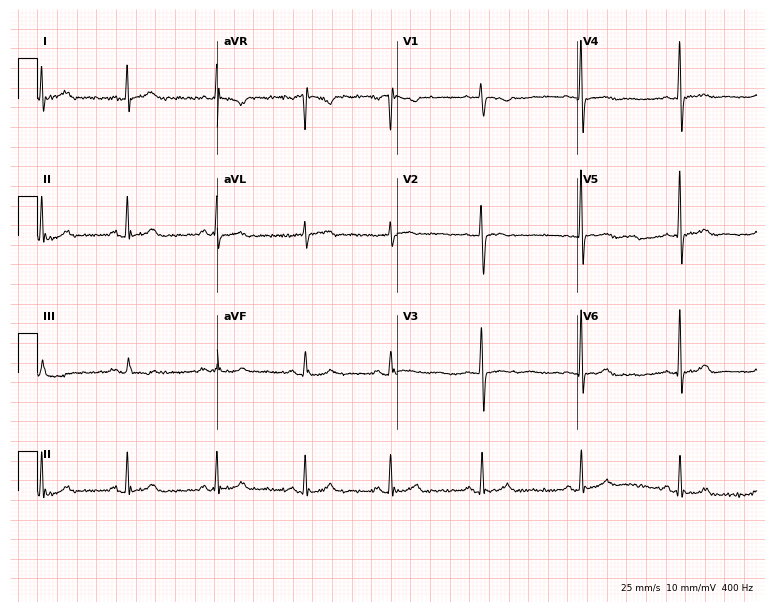
12-lead ECG from a 55-year-old female patient. No first-degree AV block, right bundle branch block, left bundle branch block, sinus bradycardia, atrial fibrillation or sinus tachycardia recorded for this tracing. Other findings, if any, are not listed.